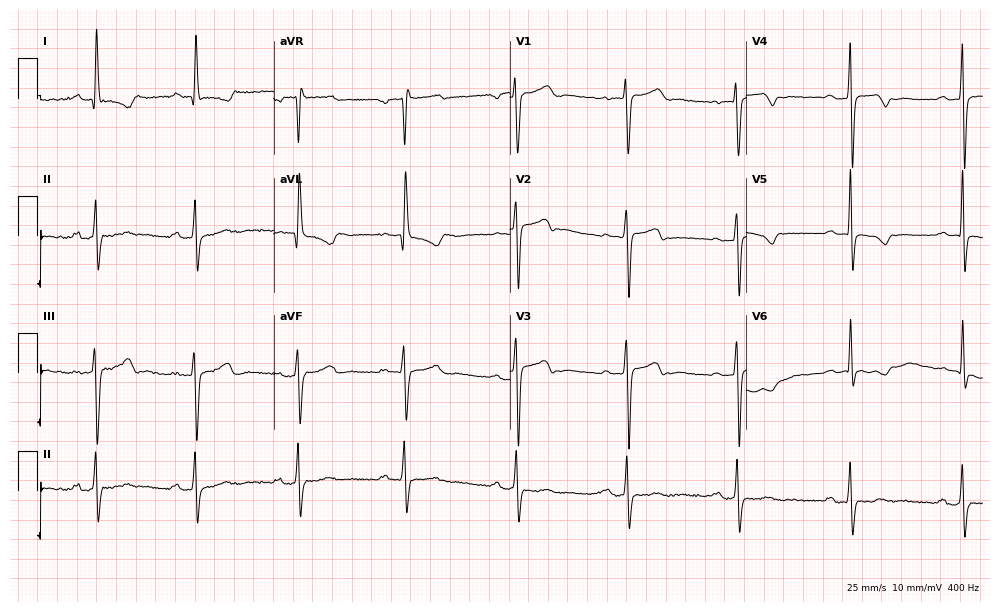
12-lead ECG from a female patient, 71 years old. Shows first-degree AV block.